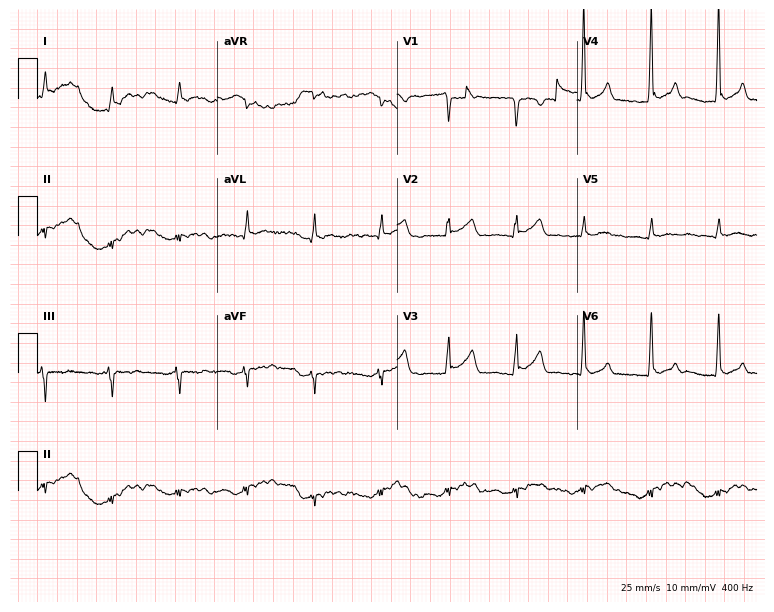
Standard 12-lead ECG recorded from a female patient, 73 years old (7.3-second recording at 400 Hz). None of these six findings is recorded: first-degree AV block, right bundle branch block (RBBB), left bundle branch block (LBBB), sinus bradycardia, atrial fibrillation (AF), sinus tachycardia.